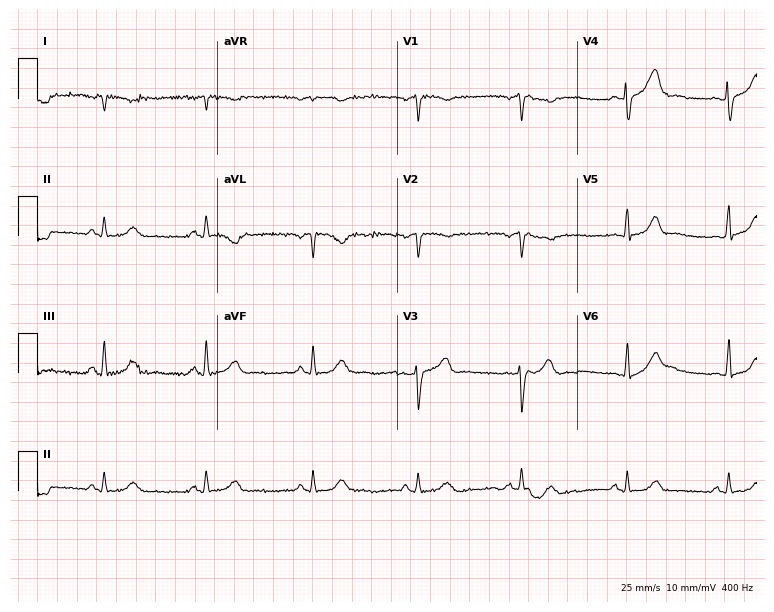
Standard 12-lead ECG recorded from a man, 82 years old (7.3-second recording at 400 Hz). None of these six findings is recorded: first-degree AV block, right bundle branch block, left bundle branch block, sinus bradycardia, atrial fibrillation, sinus tachycardia. Only these six findings were labelled.